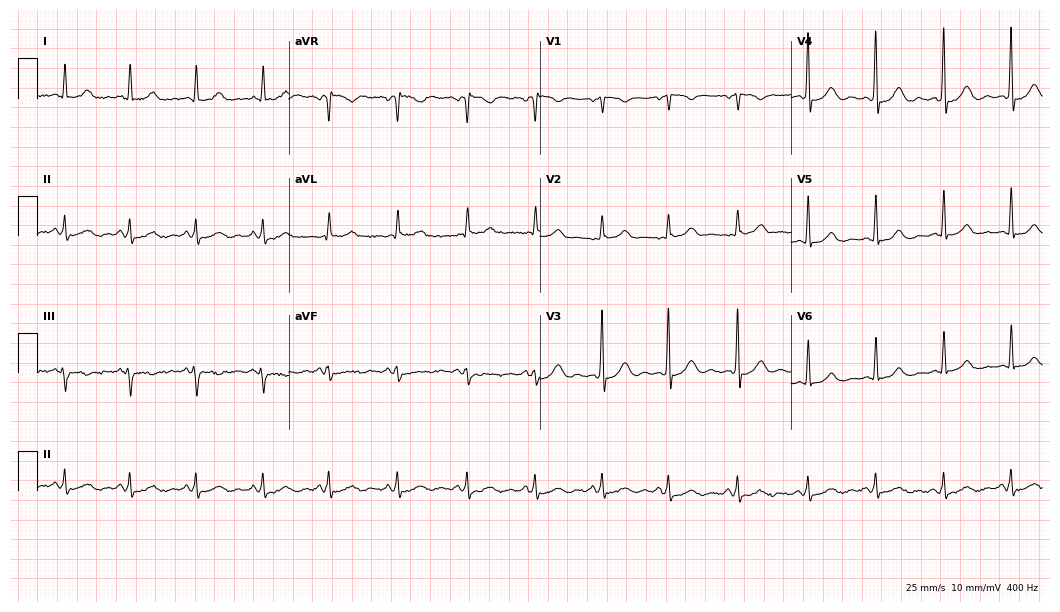
12-lead ECG (10.2-second recording at 400 Hz) from a 55-year-old woman. Screened for six findings — first-degree AV block, right bundle branch block, left bundle branch block, sinus bradycardia, atrial fibrillation, sinus tachycardia — none is recorded.